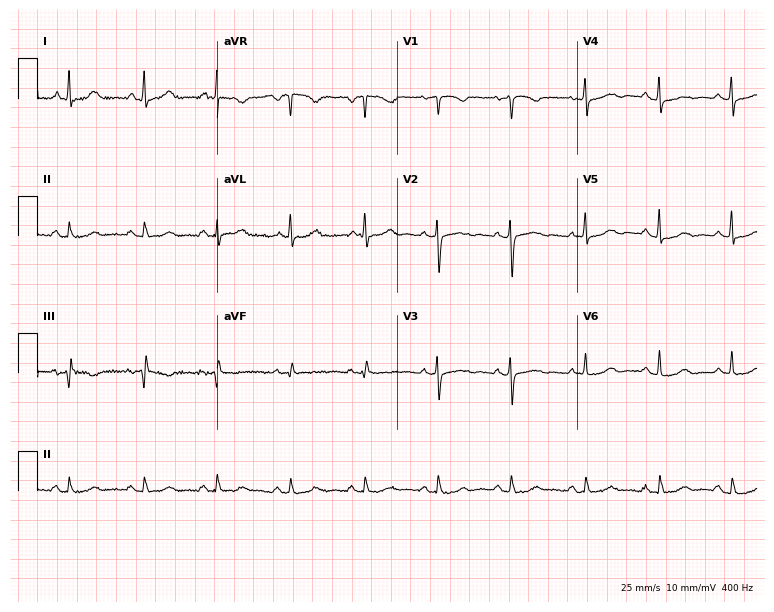
12-lead ECG (7.3-second recording at 400 Hz) from a 56-year-old female. Screened for six findings — first-degree AV block, right bundle branch block, left bundle branch block, sinus bradycardia, atrial fibrillation, sinus tachycardia — none is recorded. Other findings, if any, are not listed.